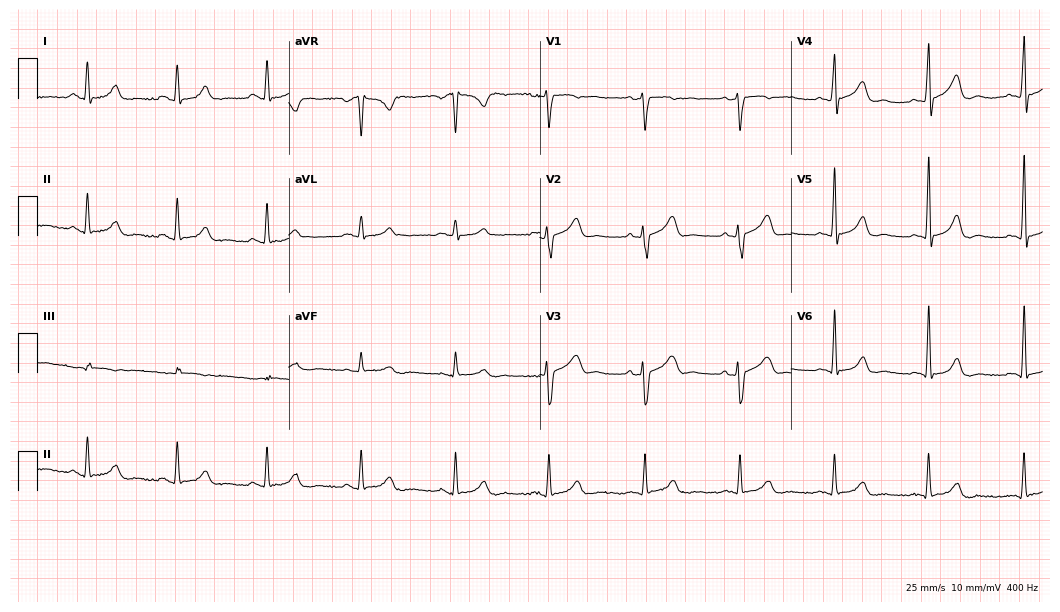
ECG — a woman, 53 years old. Labelled as a normal ECG.